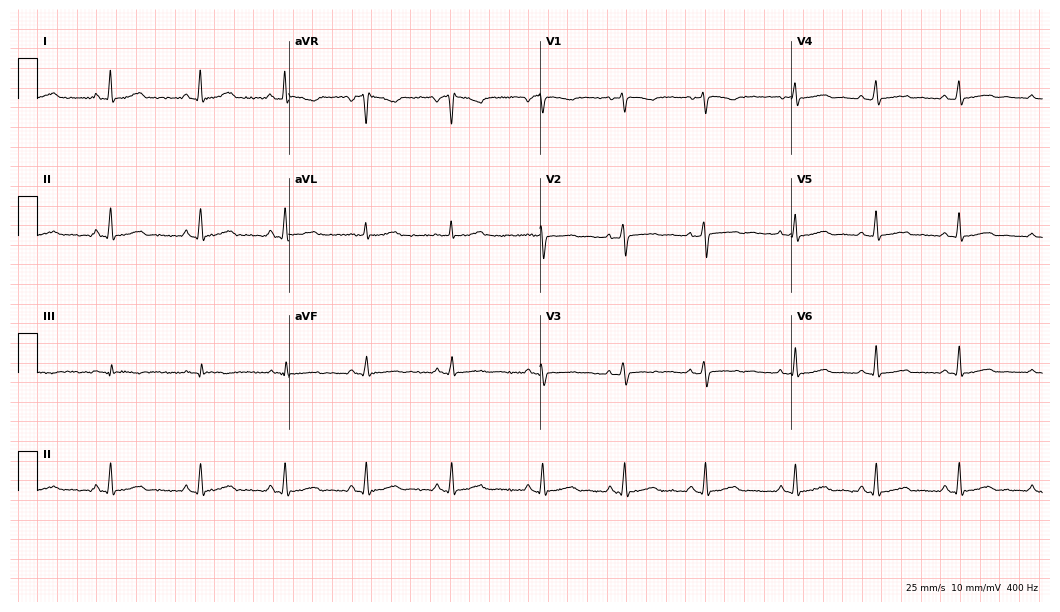
Resting 12-lead electrocardiogram (10.2-second recording at 400 Hz). Patient: a female, 41 years old. Read as a normal ECG.